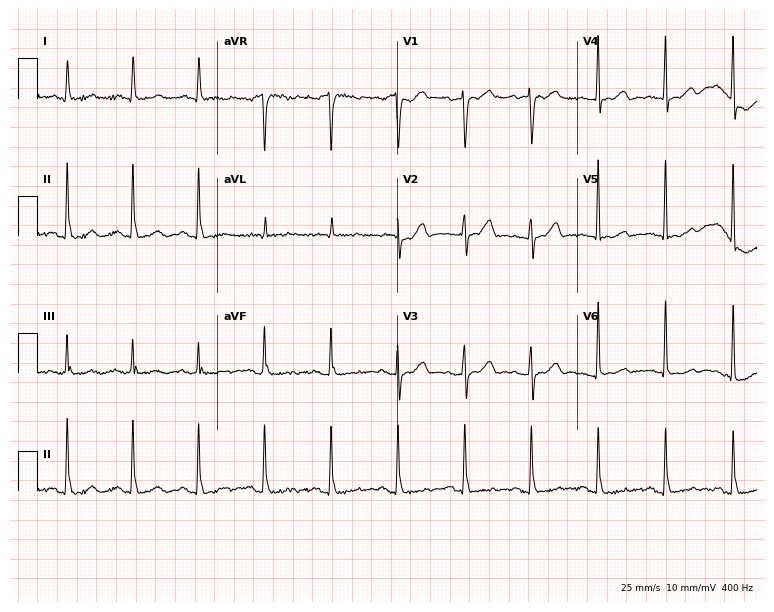
Standard 12-lead ECG recorded from a female, 68 years old. None of these six findings is recorded: first-degree AV block, right bundle branch block, left bundle branch block, sinus bradycardia, atrial fibrillation, sinus tachycardia.